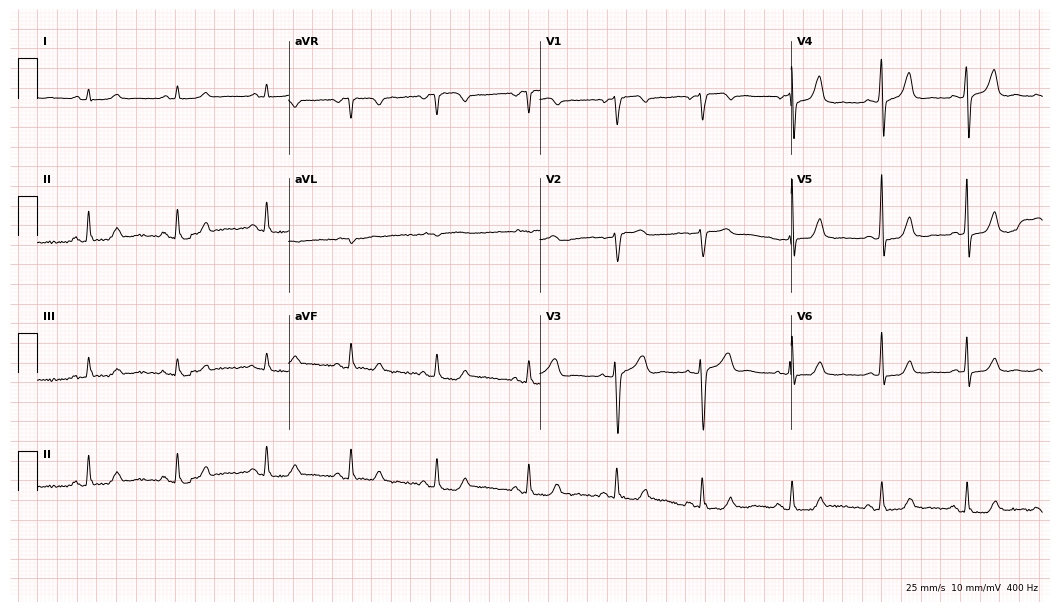
Standard 12-lead ECG recorded from a woman, 63 years old (10.2-second recording at 400 Hz). Read as a normal ECG.